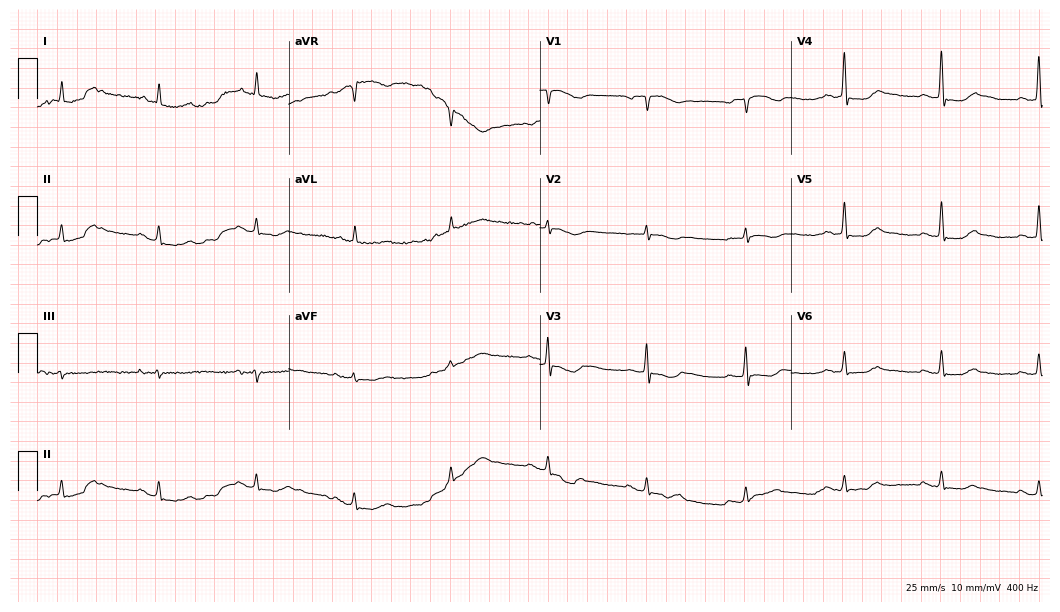
12-lead ECG (10.2-second recording at 400 Hz) from a male patient, 66 years old. Screened for six findings — first-degree AV block, right bundle branch block, left bundle branch block, sinus bradycardia, atrial fibrillation, sinus tachycardia — none is recorded.